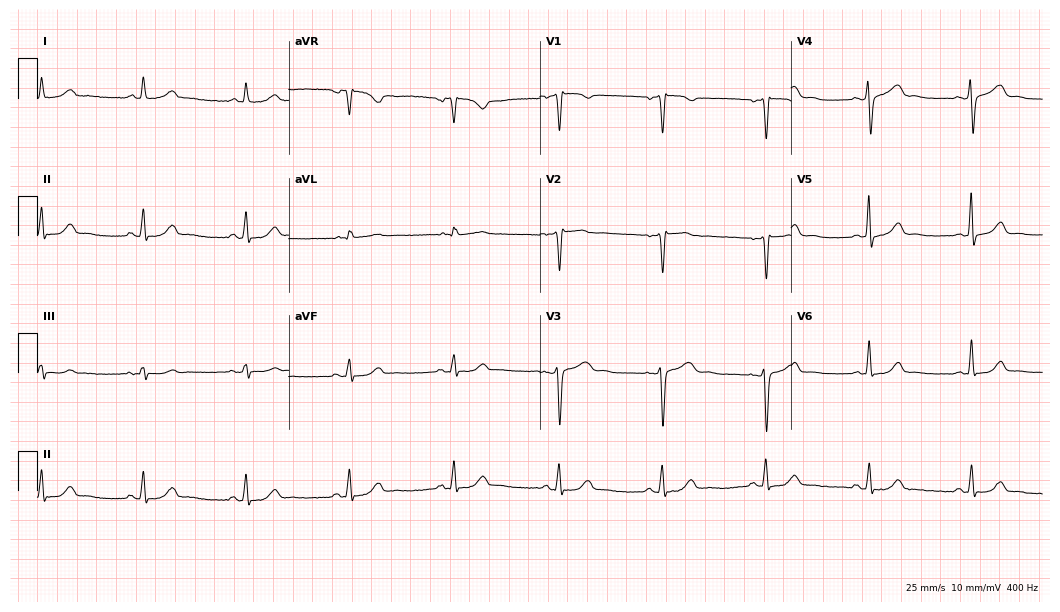
12-lead ECG from a female, 52 years old. Recorded interpretation: within normal limits.